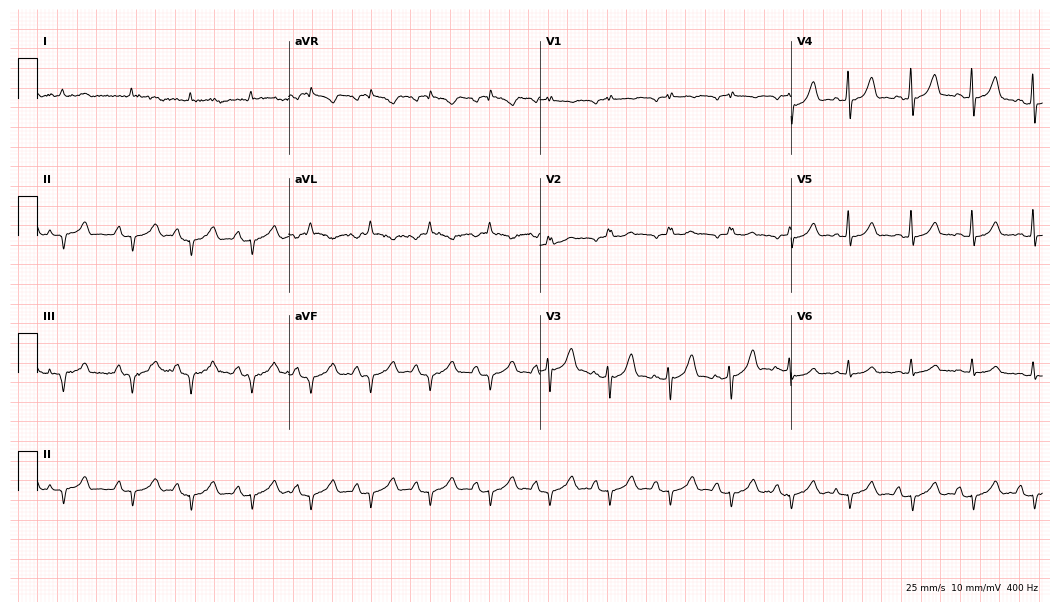
12-lead ECG from a 74-year-old man (10.2-second recording at 400 Hz). No first-degree AV block, right bundle branch block (RBBB), left bundle branch block (LBBB), sinus bradycardia, atrial fibrillation (AF) or sinus tachycardia recorded for this tracing. Other findings, if any, are not listed.